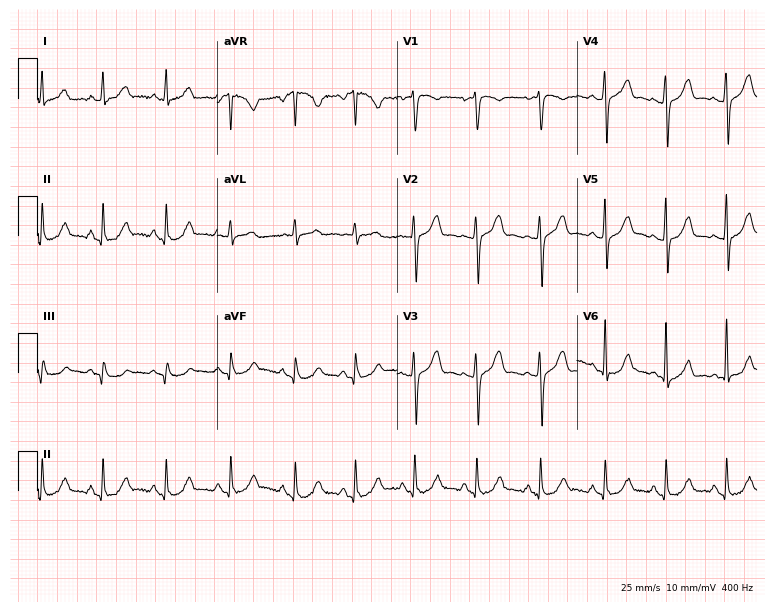
12-lead ECG (7.3-second recording at 400 Hz) from a female, 46 years old. Screened for six findings — first-degree AV block, right bundle branch block (RBBB), left bundle branch block (LBBB), sinus bradycardia, atrial fibrillation (AF), sinus tachycardia — none is recorded. Findings outside these six are not listed.